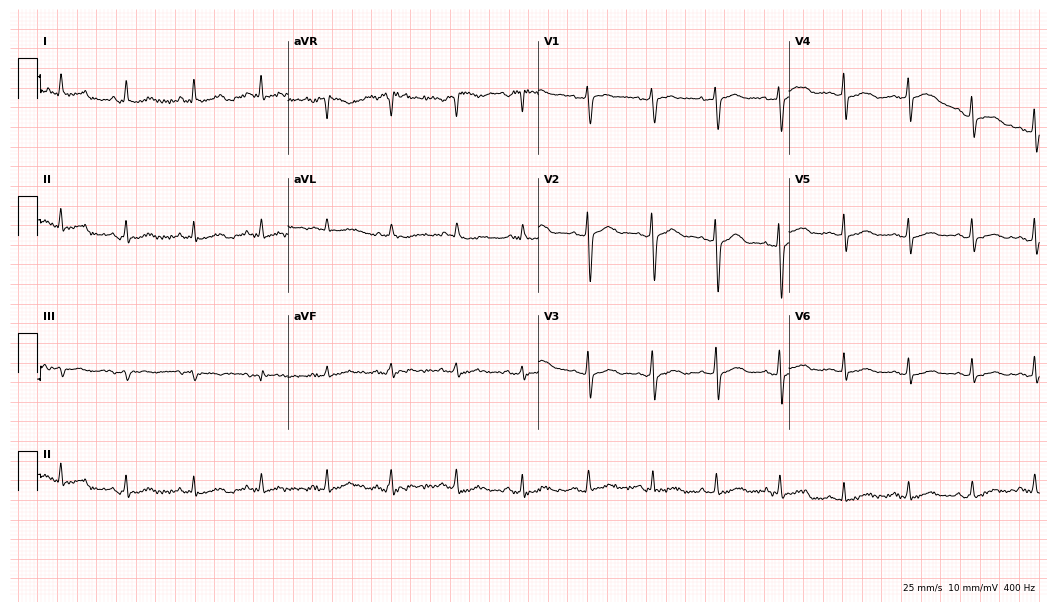
12-lead ECG (10.2-second recording at 400 Hz) from a 48-year-old female. Labelled as a normal ECG.